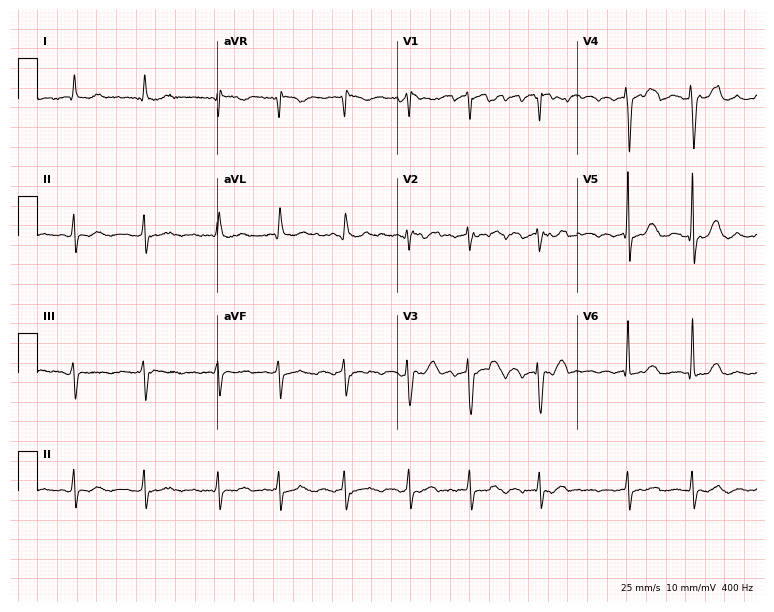
12-lead ECG (7.3-second recording at 400 Hz) from a female, 77 years old. Screened for six findings — first-degree AV block, right bundle branch block, left bundle branch block, sinus bradycardia, atrial fibrillation, sinus tachycardia — none is recorded.